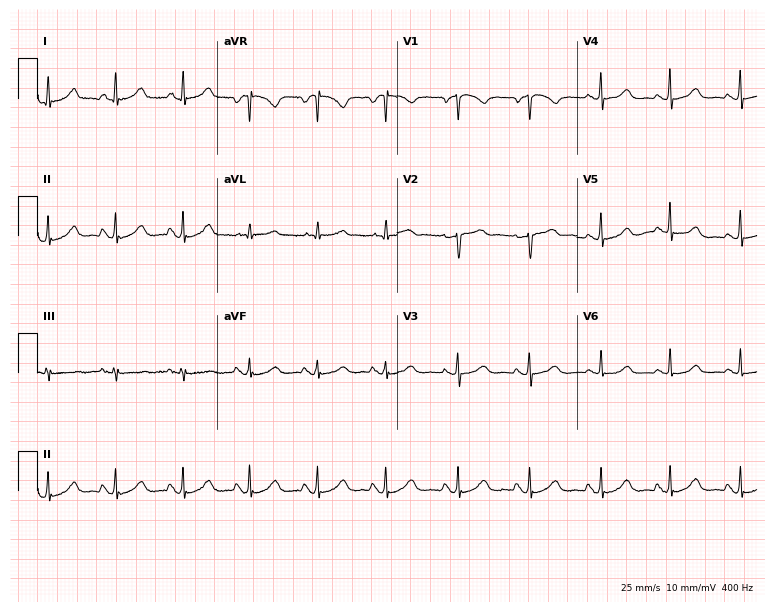
Standard 12-lead ECG recorded from a female, 65 years old (7.3-second recording at 400 Hz). Read as a normal ECG.